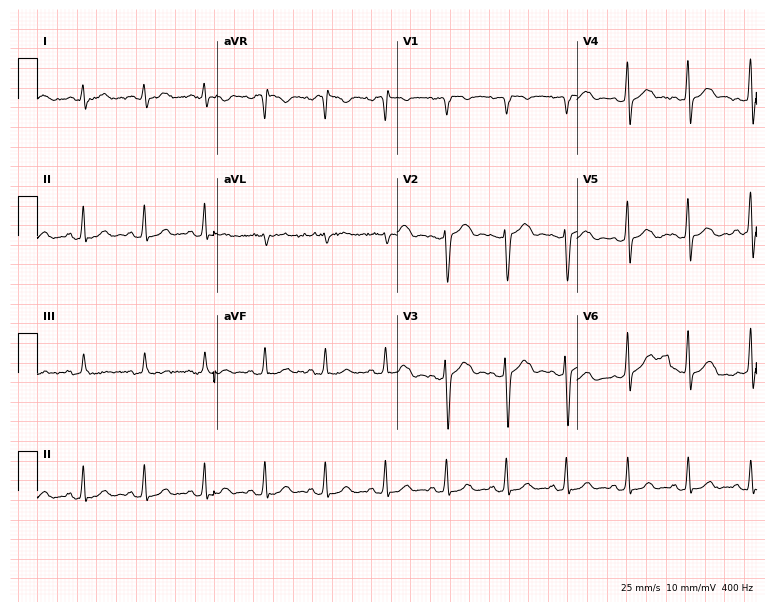
12-lead ECG from a female patient, 31 years old (7.3-second recording at 400 Hz). No first-degree AV block, right bundle branch block, left bundle branch block, sinus bradycardia, atrial fibrillation or sinus tachycardia recorded for this tracing.